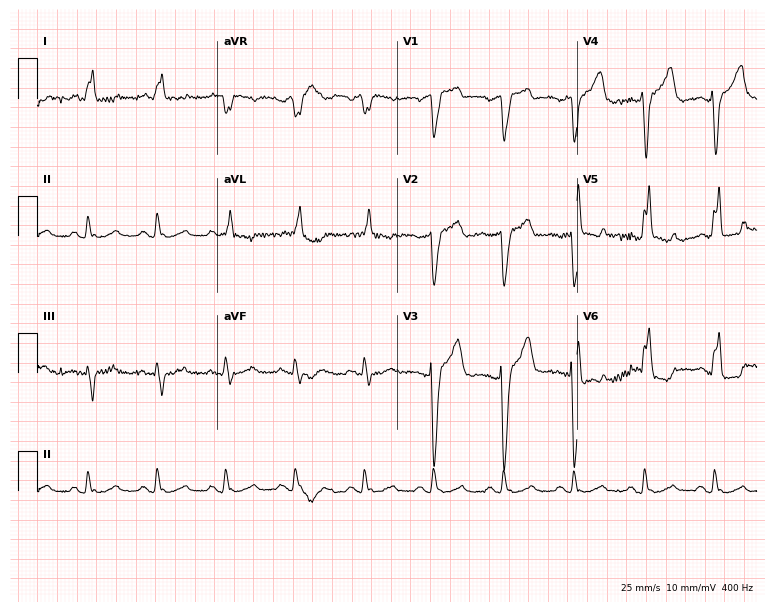
Electrocardiogram, a 71-year-old female. Interpretation includes left bundle branch block.